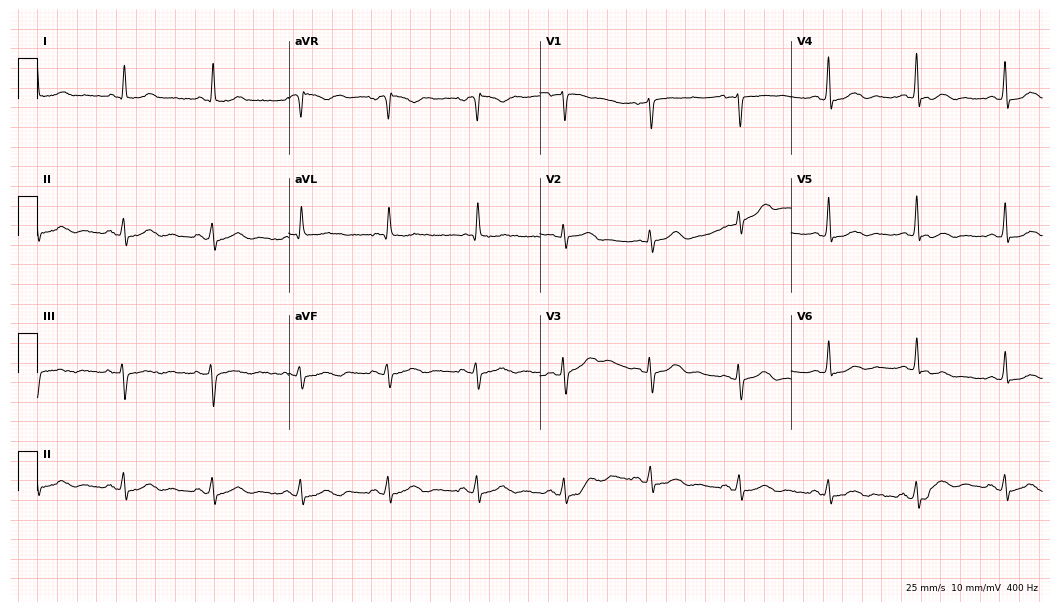
Electrocardiogram (10.2-second recording at 400 Hz), a female, 63 years old. Of the six screened findings (first-degree AV block, right bundle branch block, left bundle branch block, sinus bradycardia, atrial fibrillation, sinus tachycardia), none is recorded. Other findings, if any, are not listed.